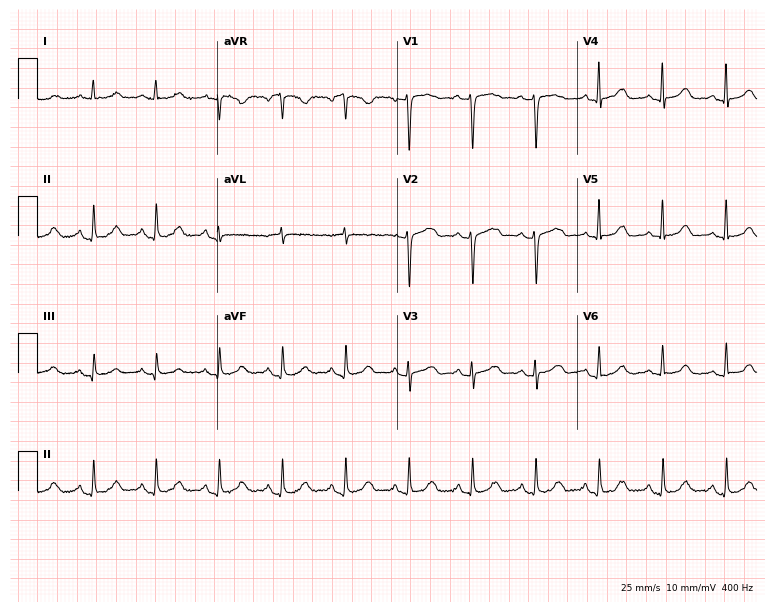
Electrocardiogram (7.3-second recording at 400 Hz), a female patient, 56 years old. Overall reading on record: normal ECG.